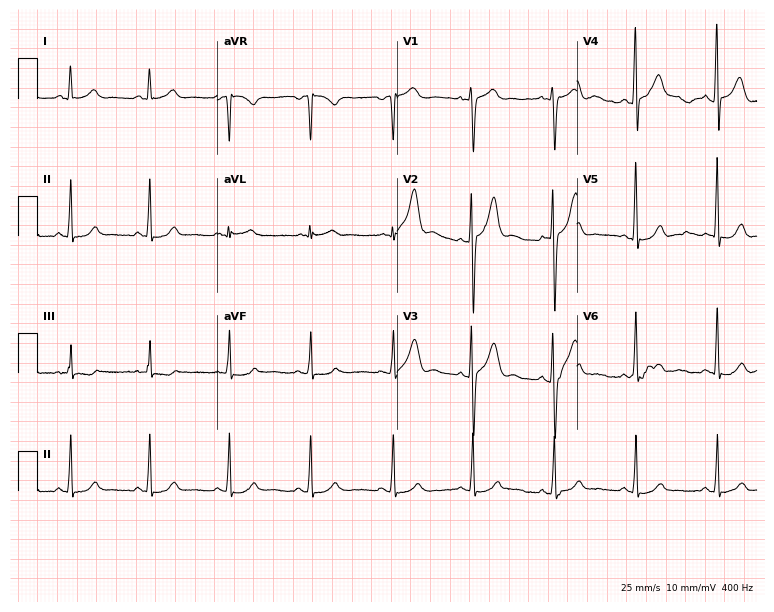
Electrocardiogram, a 46-year-old man. Overall reading on record: normal ECG.